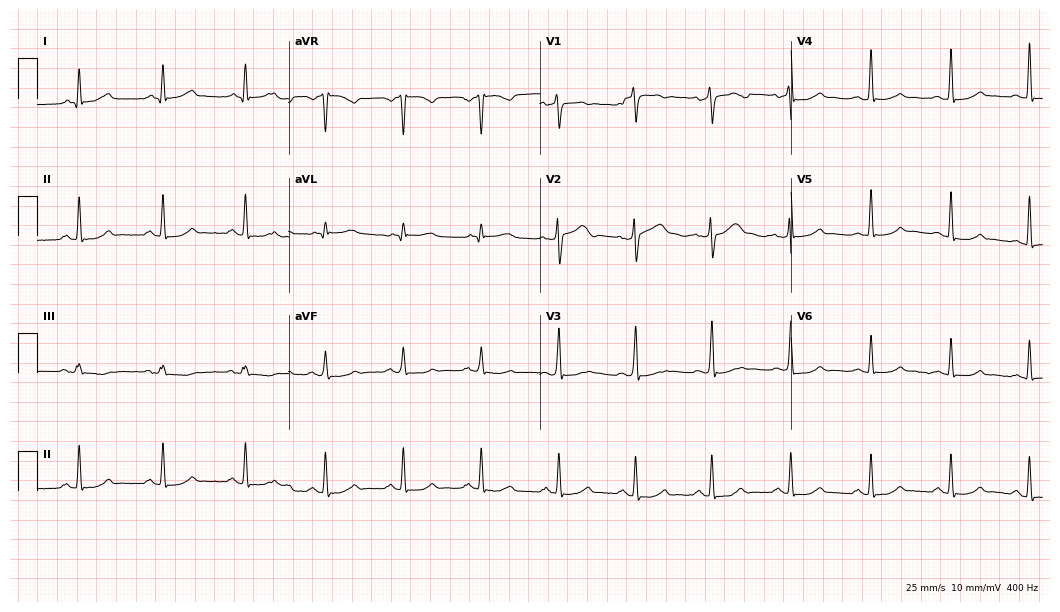
12-lead ECG from a man, 47 years old. No first-degree AV block, right bundle branch block (RBBB), left bundle branch block (LBBB), sinus bradycardia, atrial fibrillation (AF) or sinus tachycardia recorded for this tracing.